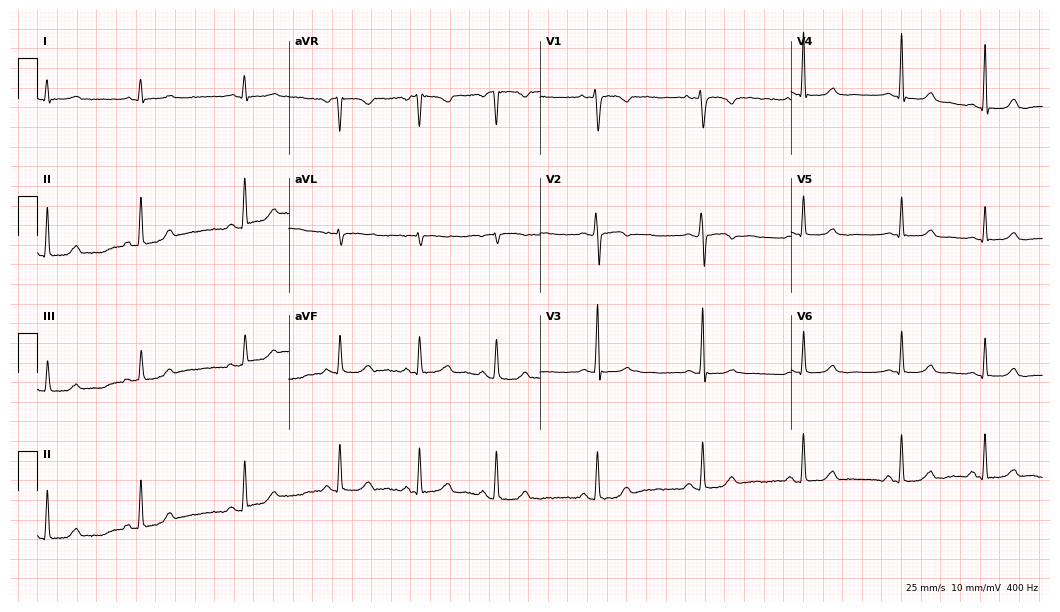
12-lead ECG from a 30-year-old female patient. Screened for six findings — first-degree AV block, right bundle branch block, left bundle branch block, sinus bradycardia, atrial fibrillation, sinus tachycardia — none is recorded.